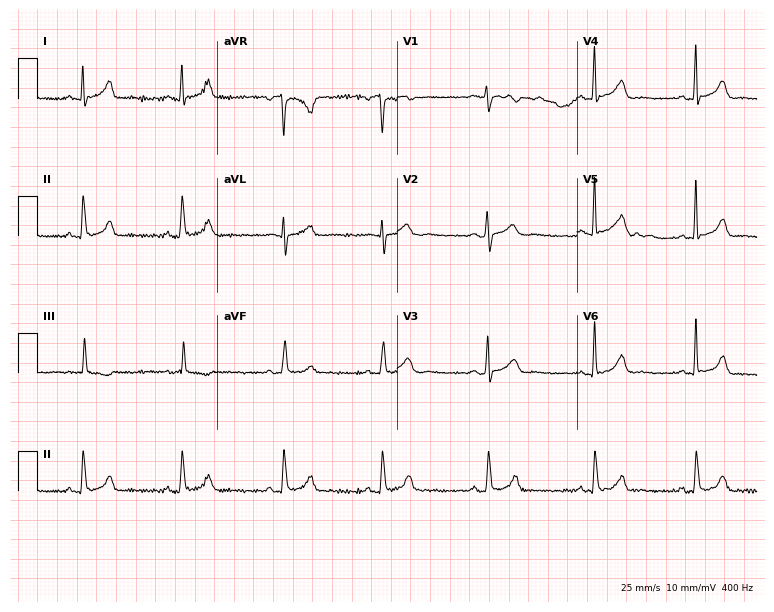
12-lead ECG from a man, 26 years old. Recorded interpretation: within normal limits.